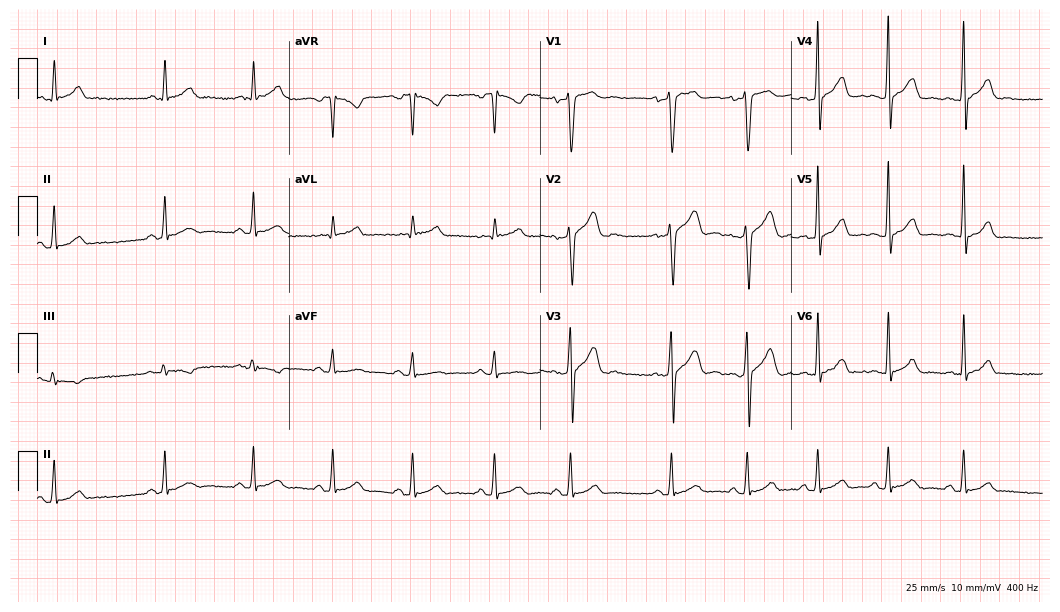
12-lead ECG from a male, 21 years old (10.2-second recording at 400 Hz). No first-degree AV block, right bundle branch block, left bundle branch block, sinus bradycardia, atrial fibrillation or sinus tachycardia recorded for this tracing. Findings outside these six are not listed.